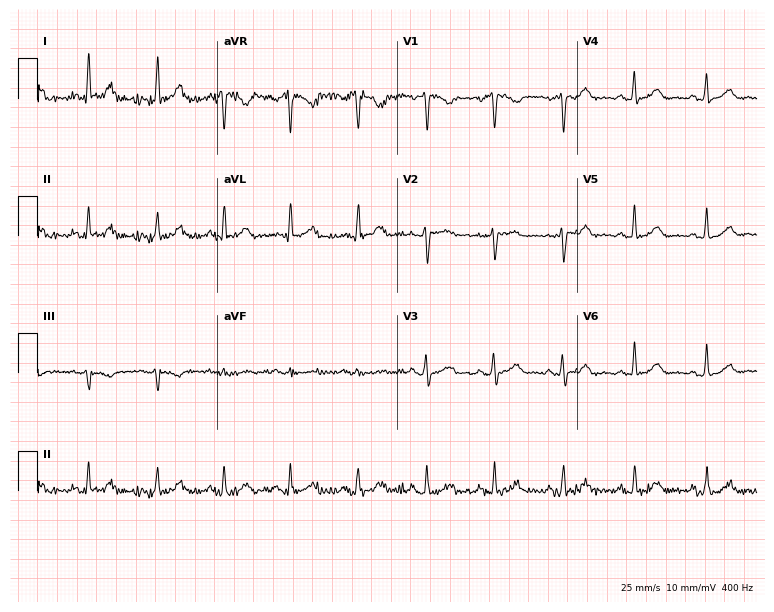
ECG (7.3-second recording at 400 Hz) — a 56-year-old female patient. Labelled as a normal ECG.